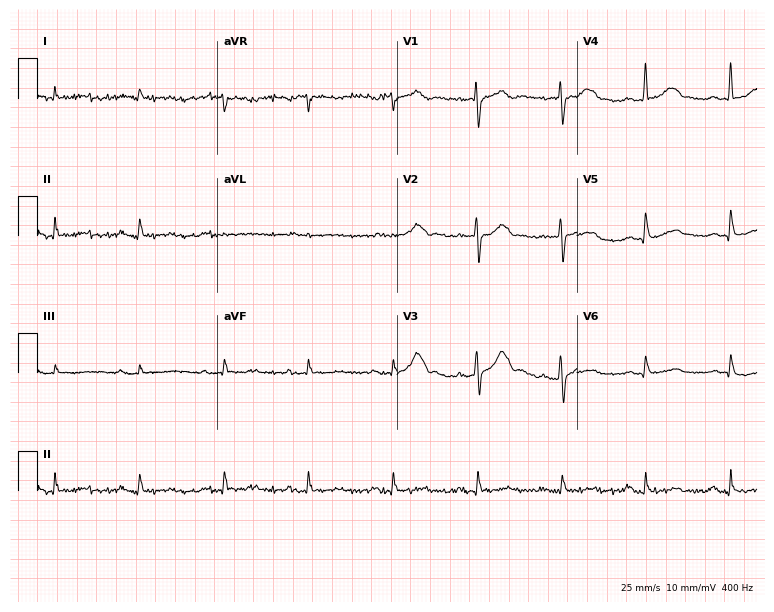
Electrocardiogram, a 76-year-old male patient. Of the six screened findings (first-degree AV block, right bundle branch block, left bundle branch block, sinus bradycardia, atrial fibrillation, sinus tachycardia), none is recorded. Findings outside these six are not listed.